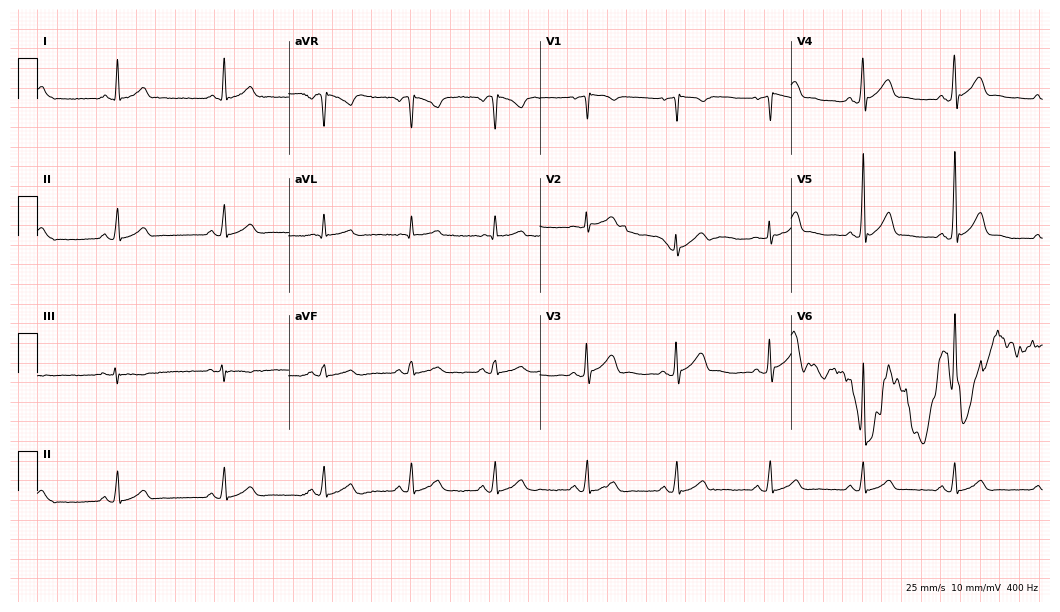
Standard 12-lead ECG recorded from a man, 37 years old (10.2-second recording at 400 Hz). None of these six findings is recorded: first-degree AV block, right bundle branch block (RBBB), left bundle branch block (LBBB), sinus bradycardia, atrial fibrillation (AF), sinus tachycardia. Only these six findings were labelled.